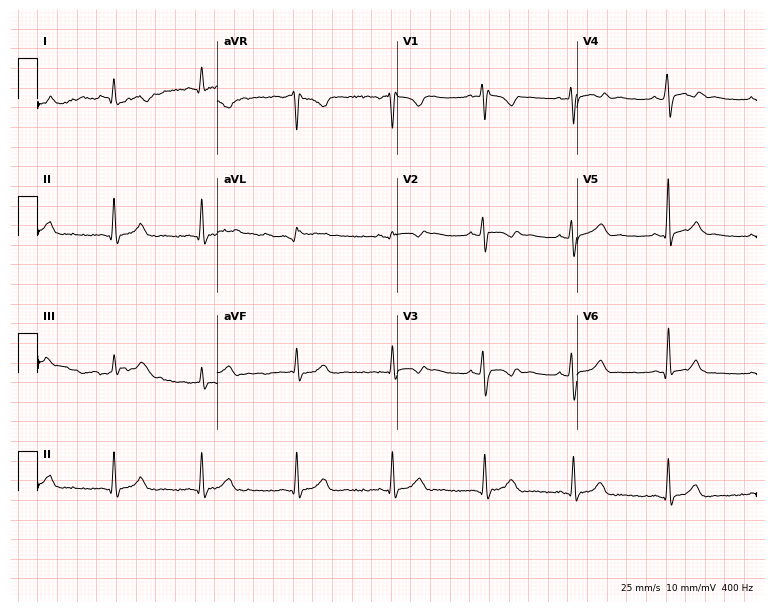
Electrocardiogram, a female, 21 years old. Of the six screened findings (first-degree AV block, right bundle branch block (RBBB), left bundle branch block (LBBB), sinus bradycardia, atrial fibrillation (AF), sinus tachycardia), none is recorded. Other findings, if any, are not listed.